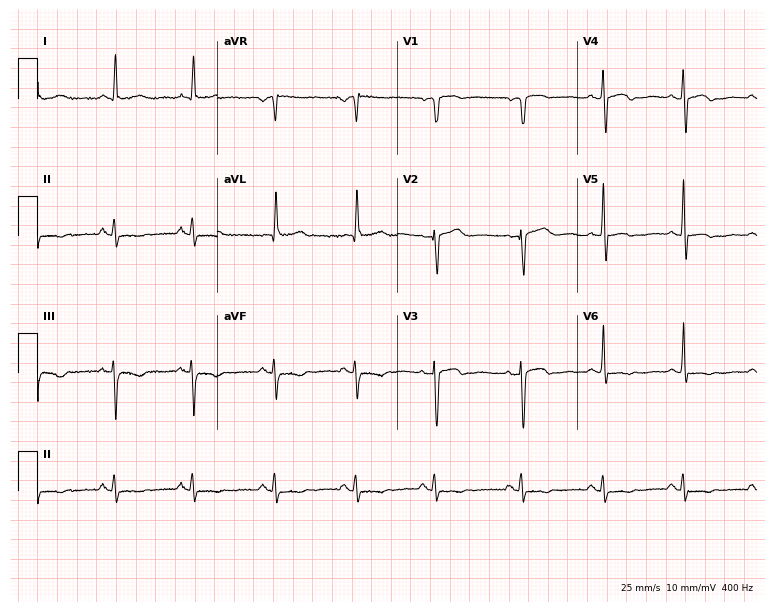
12-lead ECG from a woman, 66 years old (7.3-second recording at 400 Hz). No first-degree AV block, right bundle branch block, left bundle branch block, sinus bradycardia, atrial fibrillation or sinus tachycardia recorded for this tracing. Findings outside these six are not listed.